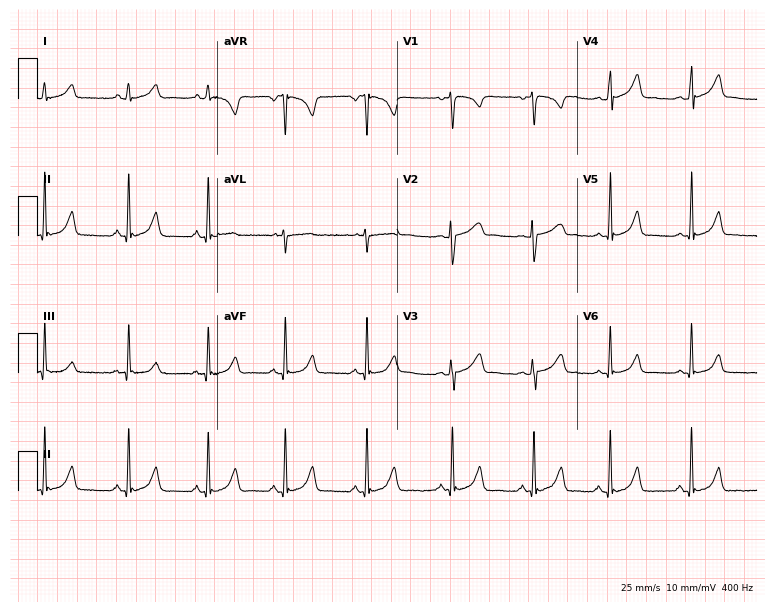
12-lead ECG from a female patient, 24 years old. Labelled as a normal ECG.